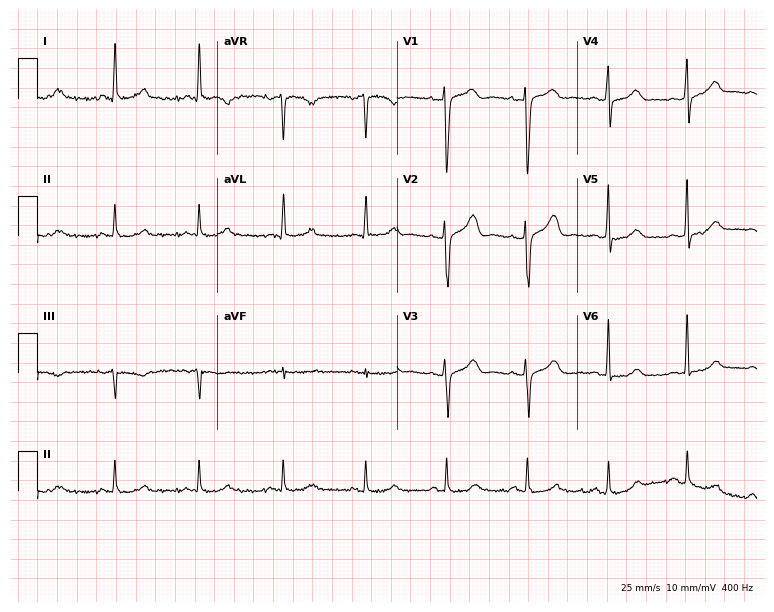
Standard 12-lead ECG recorded from a woman, 41 years old. Read as a normal ECG.